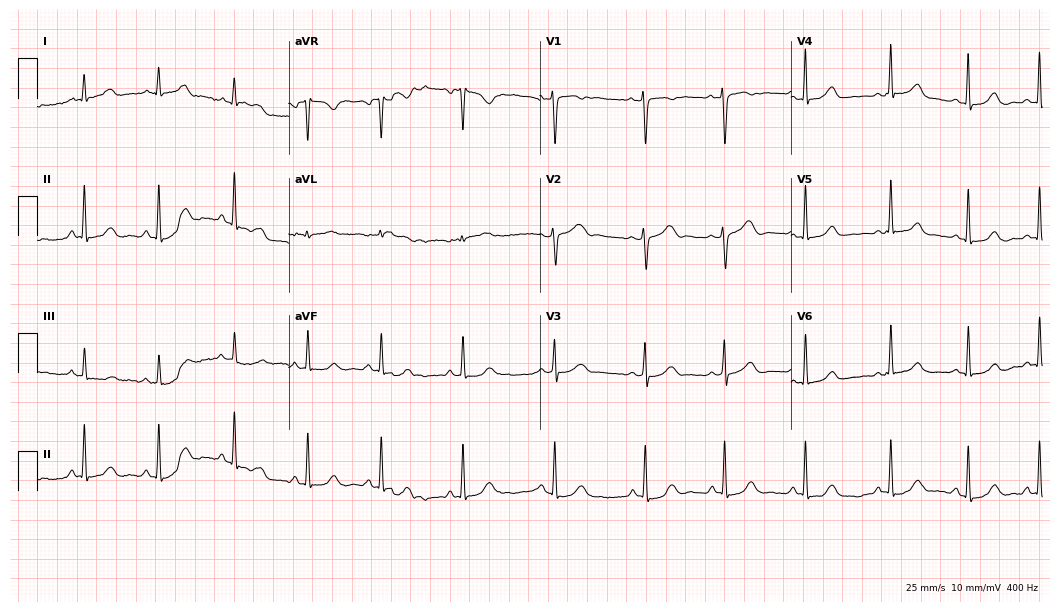
Standard 12-lead ECG recorded from a woman, 33 years old (10.2-second recording at 400 Hz). Read as a normal ECG.